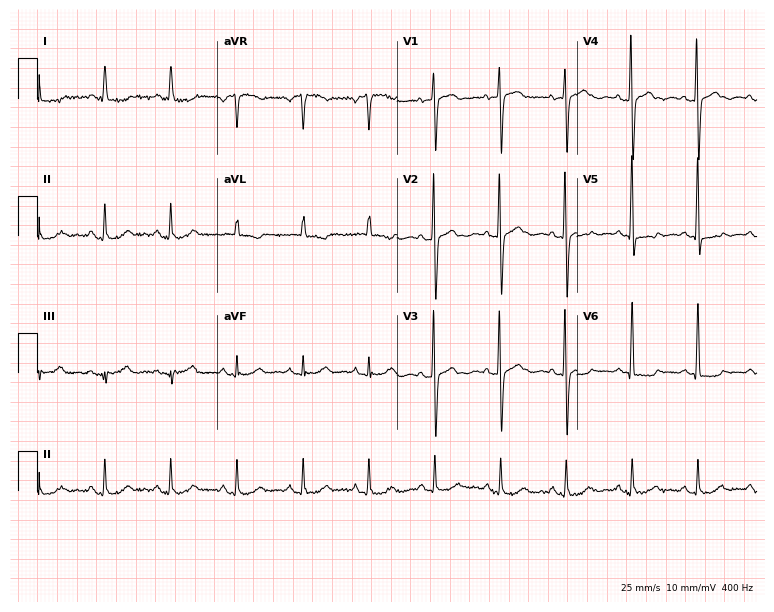
12-lead ECG from a 78-year-old female patient (7.3-second recording at 400 Hz). No first-degree AV block, right bundle branch block (RBBB), left bundle branch block (LBBB), sinus bradycardia, atrial fibrillation (AF) or sinus tachycardia recorded for this tracing.